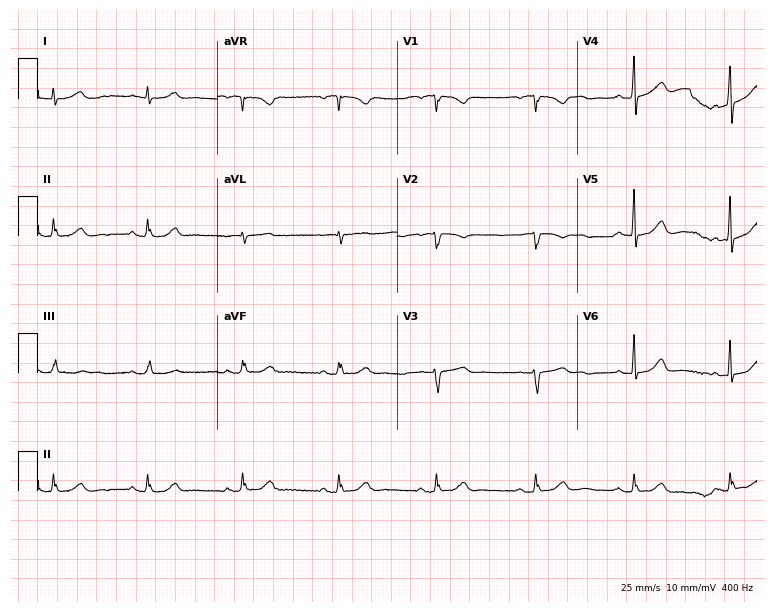
Standard 12-lead ECG recorded from a woman, 65 years old (7.3-second recording at 400 Hz). None of these six findings is recorded: first-degree AV block, right bundle branch block, left bundle branch block, sinus bradycardia, atrial fibrillation, sinus tachycardia.